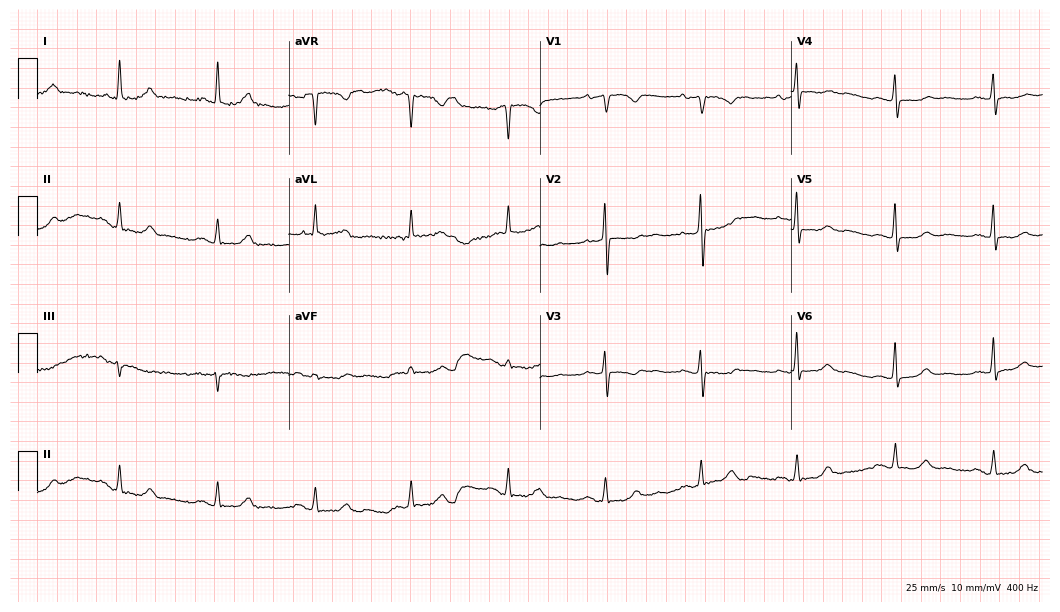
12-lead ECG from an 85-year-old female patient. No first-degree AV block, right bundle branch block, left bundle branch block, sinus bradycardia, atrial fibrillation or sinus tachycardia recorded for this tracing. Only these six findings were labelled.